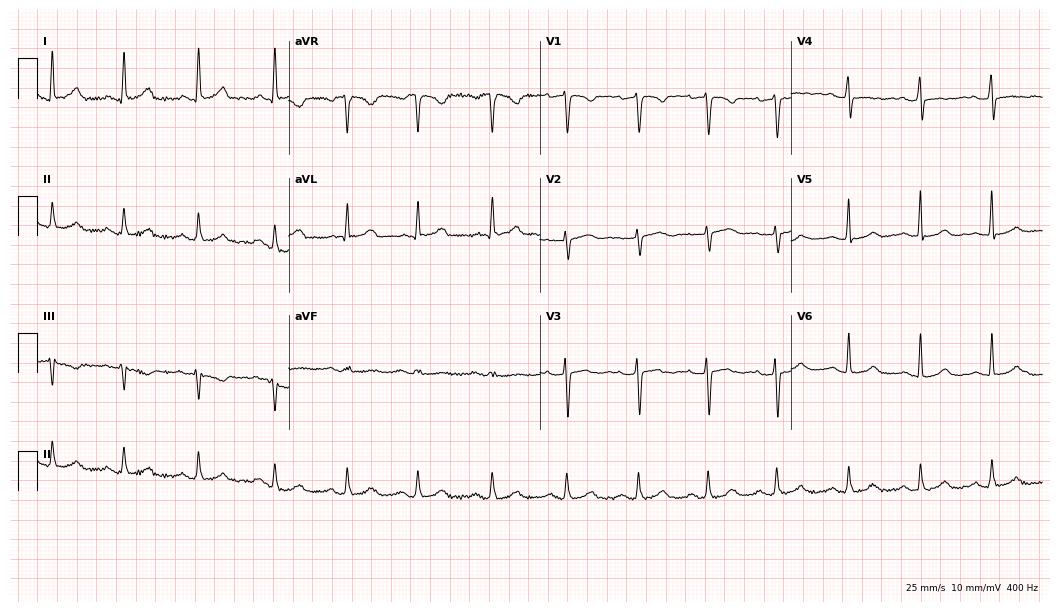
ECG — a woman, 45 years old. Labelled as a normal ECG.